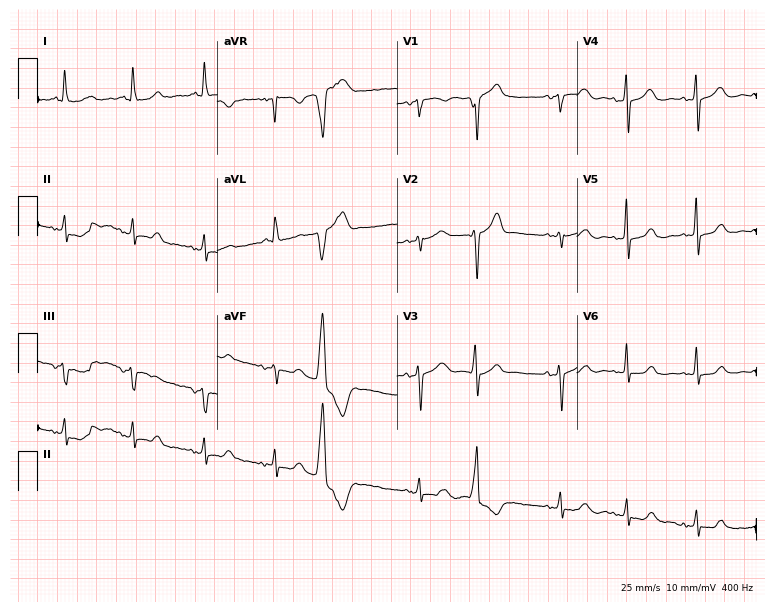
Resting 12-lead electrocardiogram. Patient: a 78-year-old female. None of these six findings is recorded: first-degree AV block, right bundle branch block, left bundle branch block, sinus bradycardia, atrial fibrillation, sinus tachycardia. Findings outside these six are not listed.